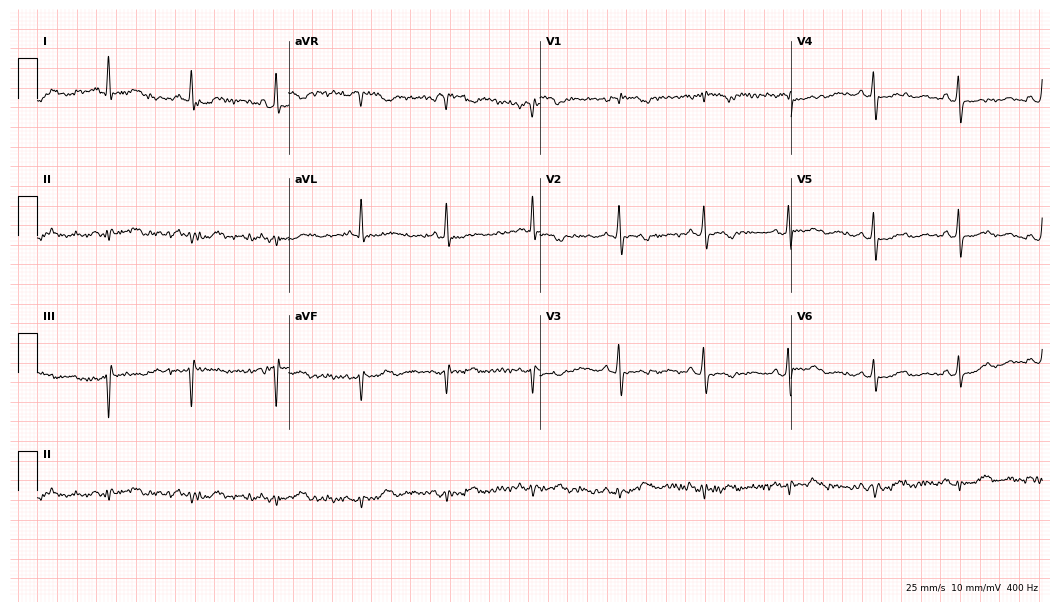
Resting 12-lead electrocardiogram (10.2-second recording at 400 Hz). Patient: a male, 70 years old. None of these six findings is recorded: first-degree AV block, right bundle branch block (RBBB), left bundle branch block (LBBB), sinus bradycardia, atrial fibrillation (AF), sinus tachycardia.